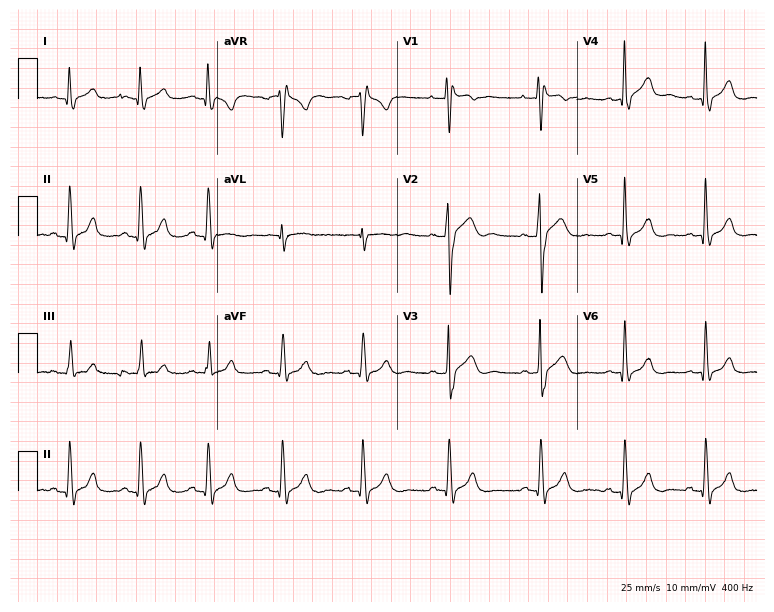
Standard 12-lead ECG recorded from a male, 22 years old. None of these six findings is recorded: first-degree AV block, right bundle branch block, left bundle branch block, sinus bradycardia, atrial fibrillation, sinus tachycardia. Only these six findings were labelled.